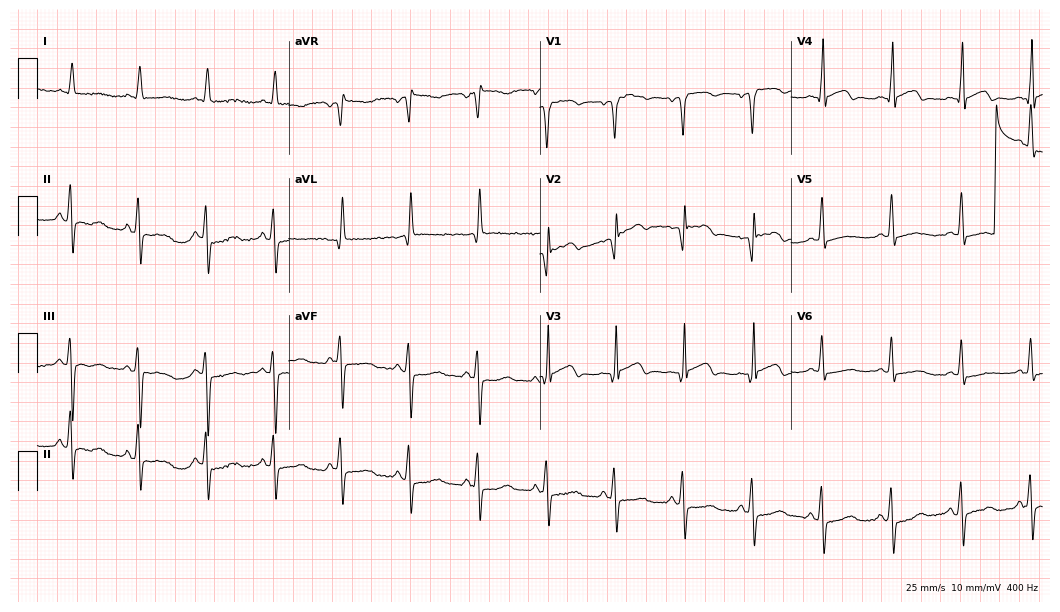
12-lead ECG from a woman, 72 years old. No first-degree AV block, right bundle branch block (RBBB), left bundle branch block (LBBB), sinus bradycardia, atrial fibrillation (AF) or sinus tachycardia recorded for this tracing. Findings outside these six are not listed.